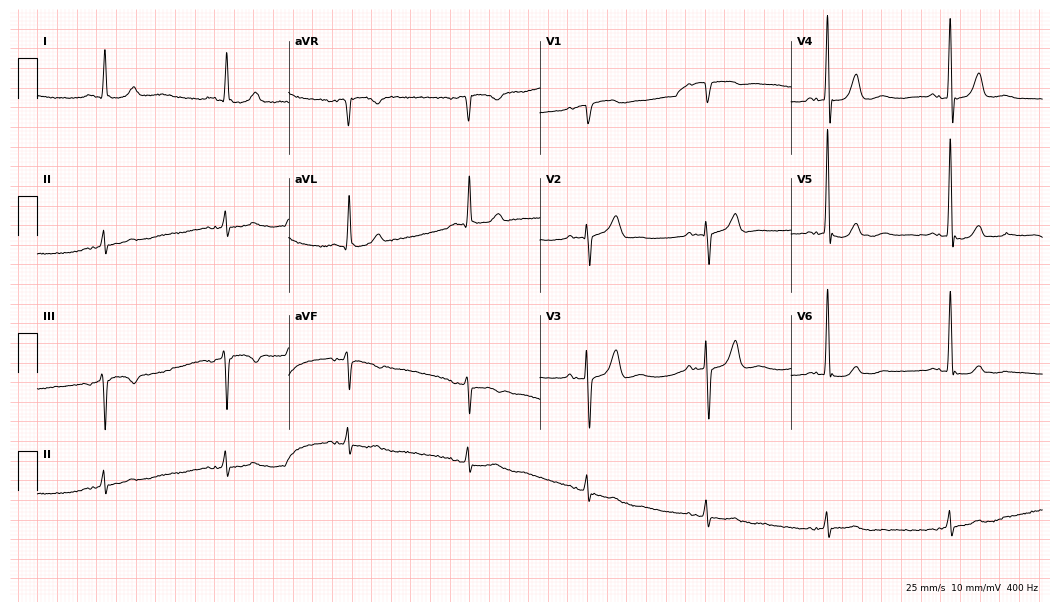
Resting 12-lead electrocardiogram. Patient: a male, 80 years old. None of these six findings is recorded: first-degree AV block, right bundle branch block, left bundle branch block, sinus bradycardia, atrial fibrillation, sinus tachycardia. Other findings, if any, are not listed.